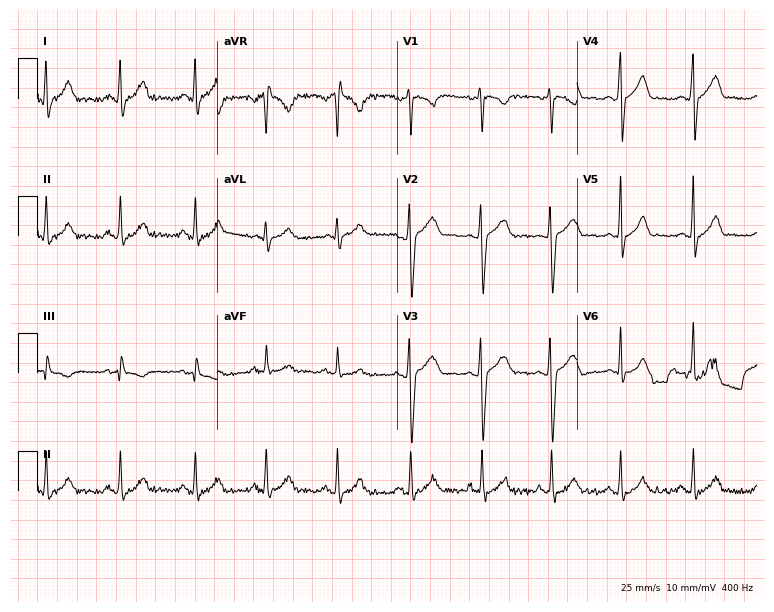
ECG (7.3-second recording at 400 Hz) — a 22-year-old male patient. Labelled as a normal ECG.